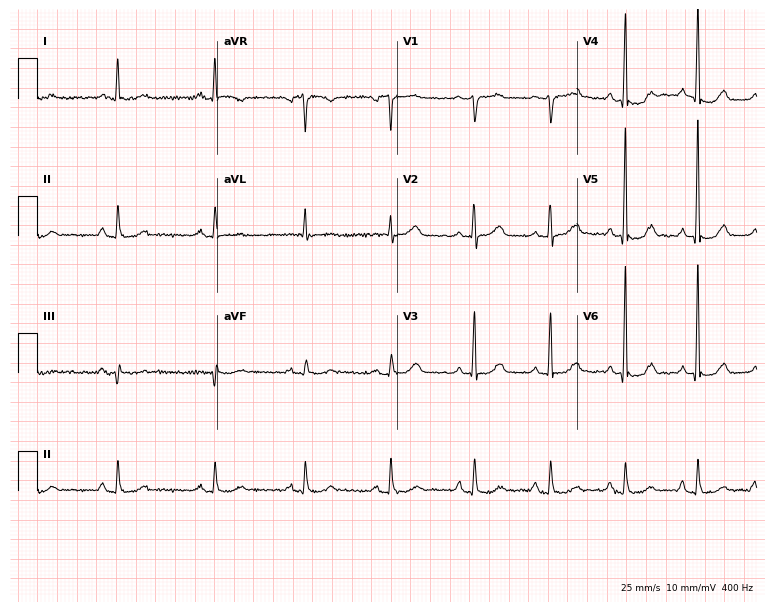
Electrocardiogram, a 59-year-old male patient. Of the six screened findings (first-degree AV block, right bundle branch block, left bundle branch block, sinus bradycardia, atrial fibrillation, sinus tachycardia), none is recorded.